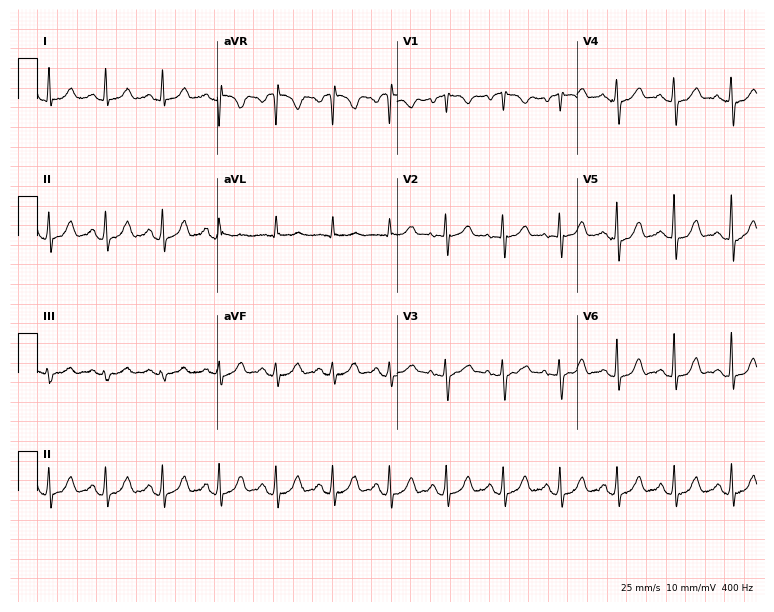
Electrocardiogram, a 66-year-old woman. Overall reading on record: normal ECG.